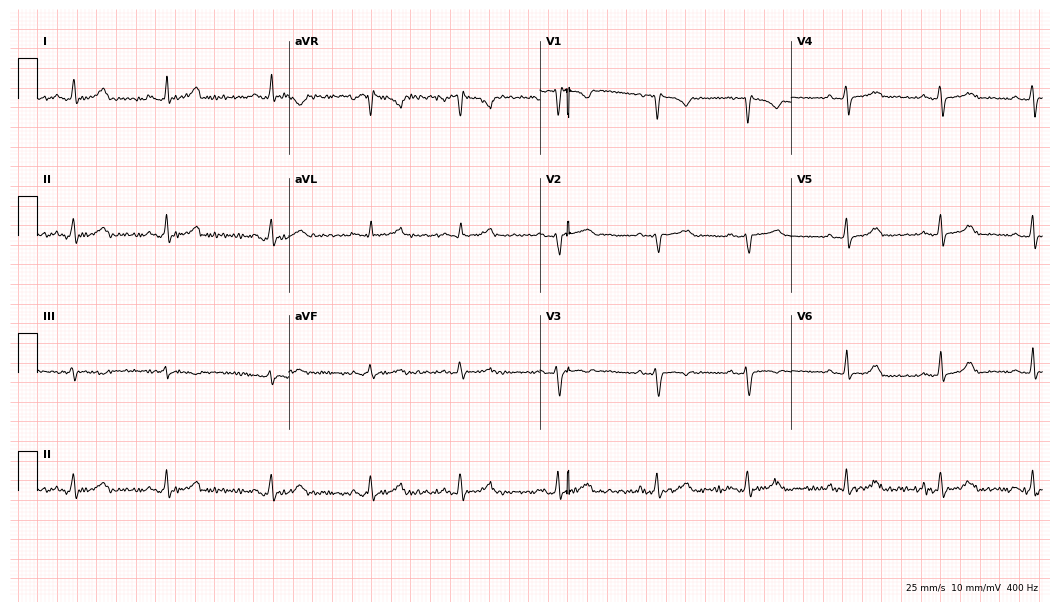
12-lead ECG from a female, 40 years old. Labelled as a normal ECG.